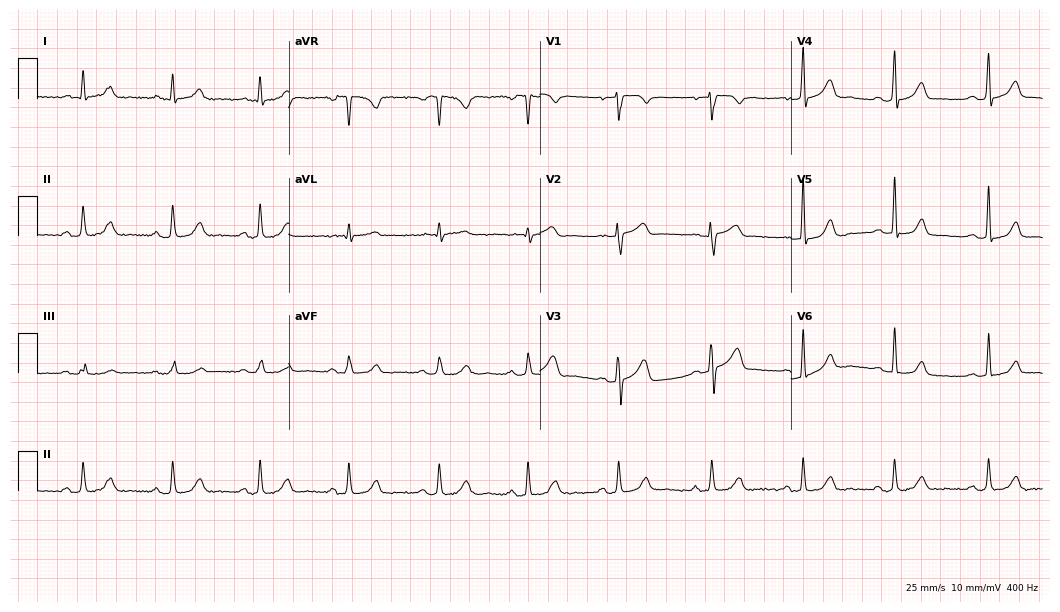
Electrocardiogram (10.2-second recording at 400 Hz), a female, 57 years old. Overall reading on record: normal ECG.